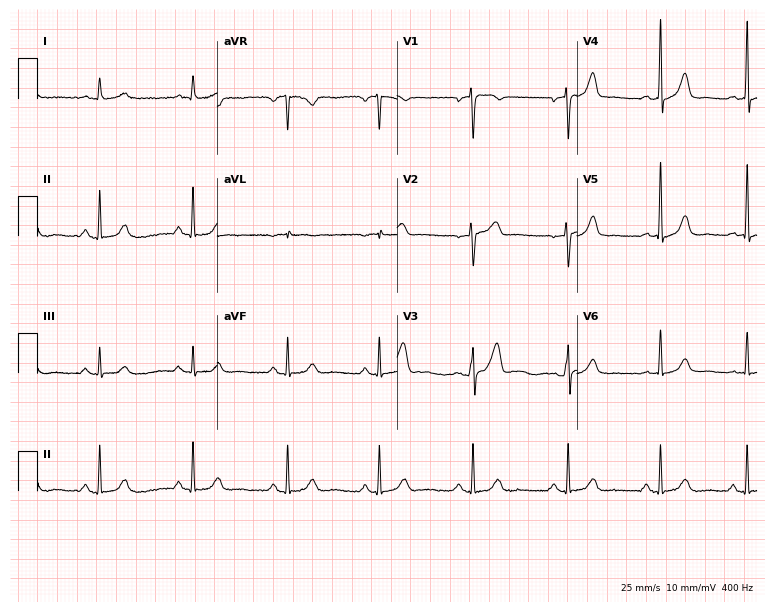
Resting 12-lead electrocardiogram (7.3-second recording at 400 Hz). Patient: a male, 54 years old. Read as a normal ECG.